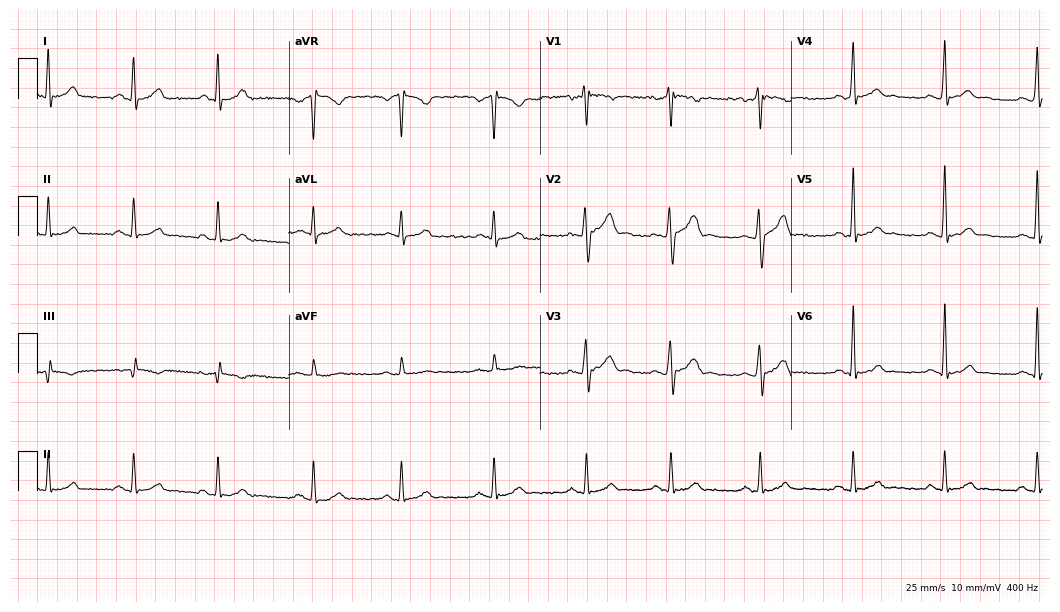
ECG — a male patient, 26 years old. Labelled as a normal ECG.